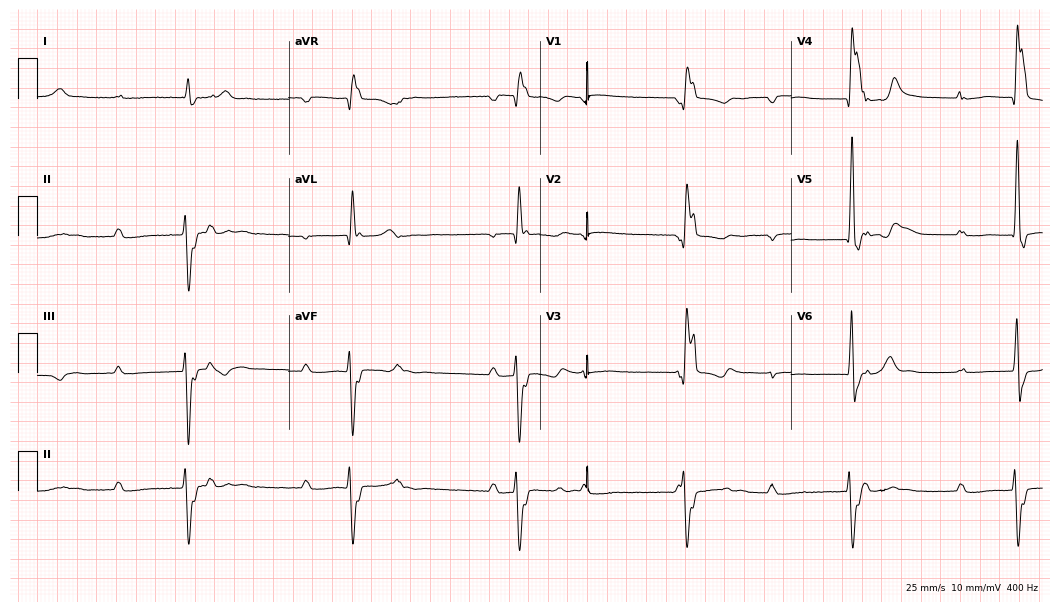
12-lead ECG from a 63-year-old male patient. Shows first-degree AV block.